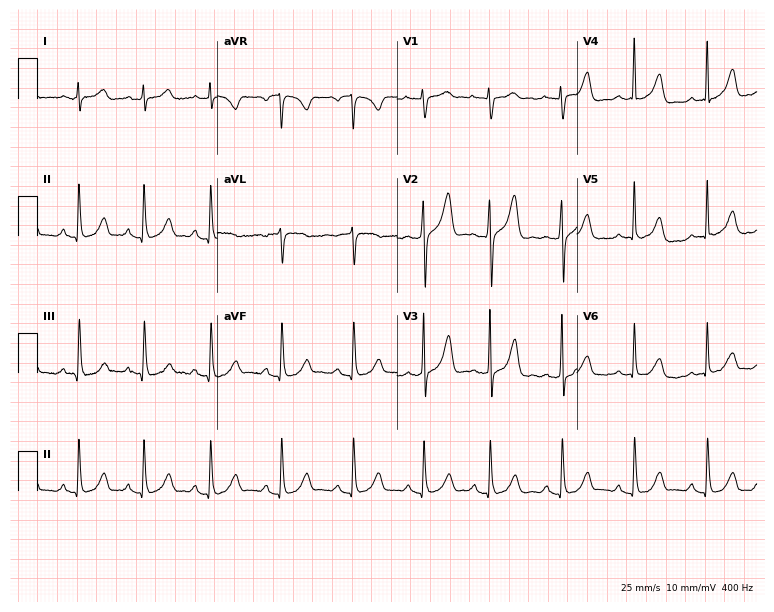
ECG — a 31-year-old woman. Screened for six findings — first-degree AV block, right bundle branch block, left bundle branch block, sinus bradycardia, atrial fibrillation, sinus tachycardia — none is recorded.